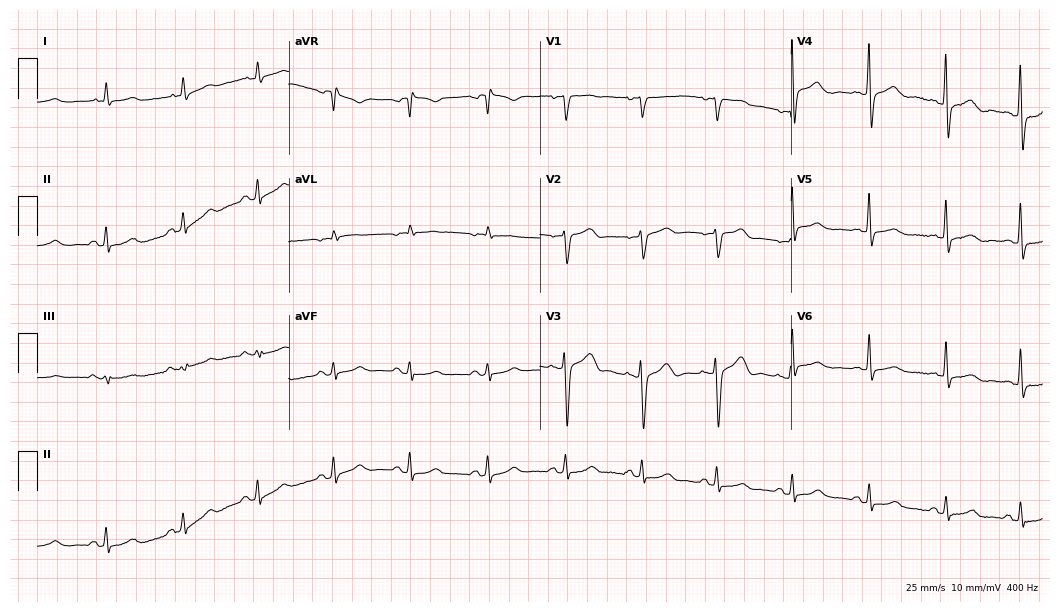
Standard 12-lead ECG recorded from a 64-year-old female (10.2-second recording at 400 Hz). Read as a normal ECG.